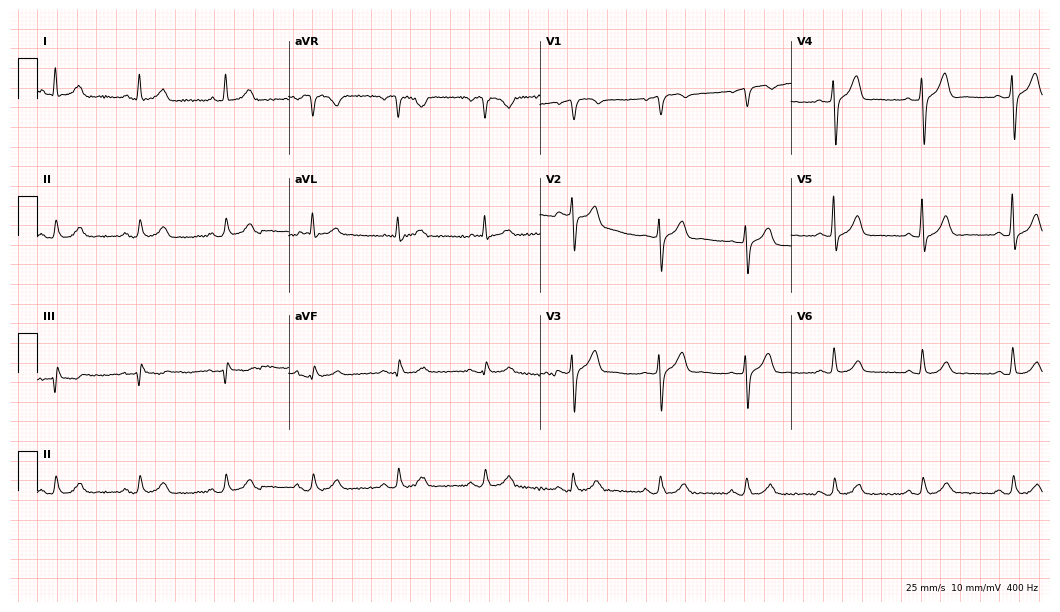
12-lead ECG (10.2-second recording at 400 Hz) from a male patient, 64 years old. Screened for six findings — first-degree AV block, right bundle branch block, left bundle branch block, sinus bradycardia, atrial fibrillation, sinus tachycardia — none is recorded.